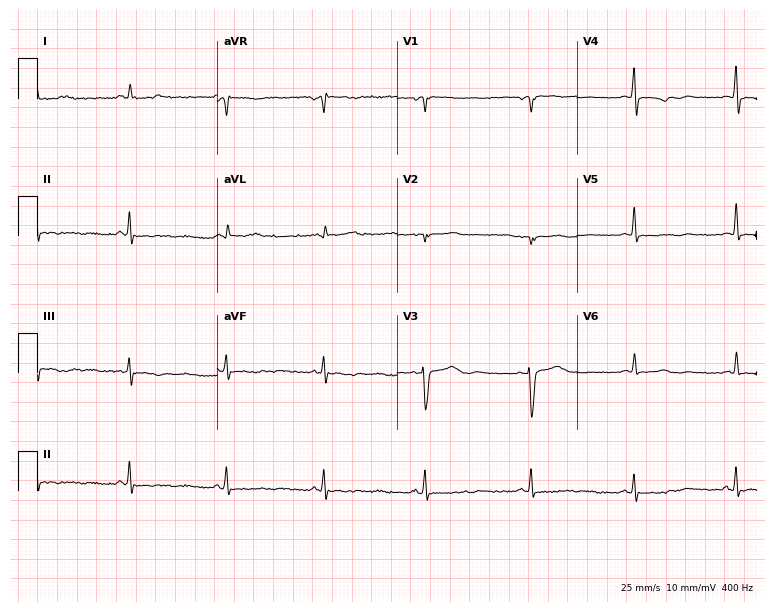
Resting 12-lead electrocardiogram. Patient: a female, 36 years old. None of these six findings is recorded: first-degree AV block, right bundle branch block, left bundle branch block, sinus bradycardia, atrial fibrillation, sinus tachycardia.